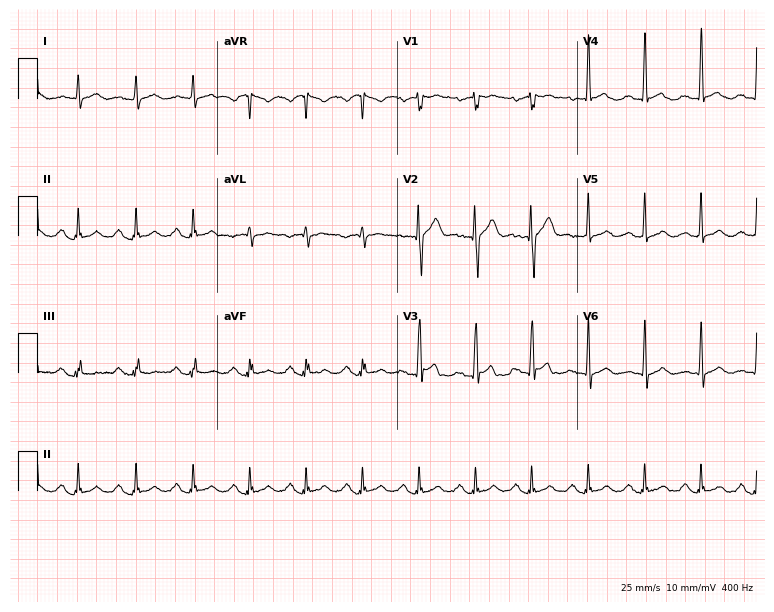
12-lead ECG (7.3-second recording at 400 Hz) from a male patient, 26 years old. Findings include sinus tachycardia (a sinus rate of 100 beats per minute or more).